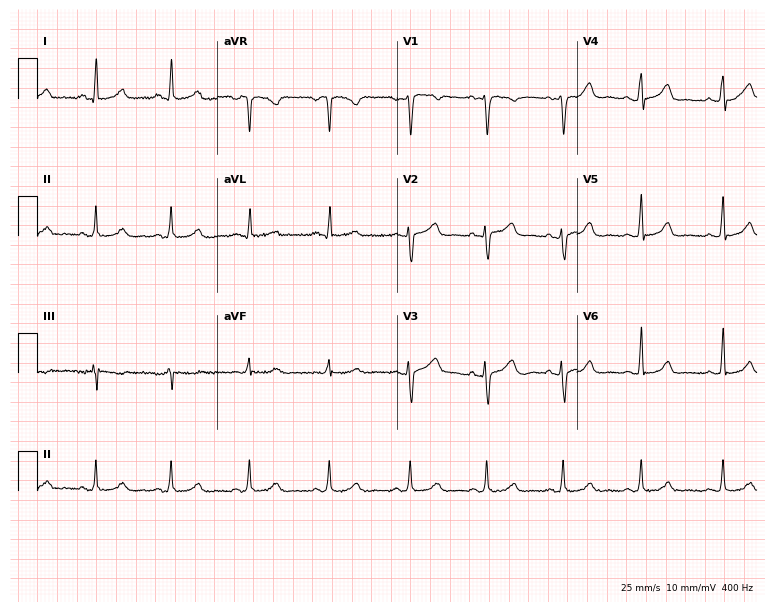
12-lead ECG from a 51-year-old female (7.3-second recording at 400 Hz). Recorded interpretation: within normal limits.